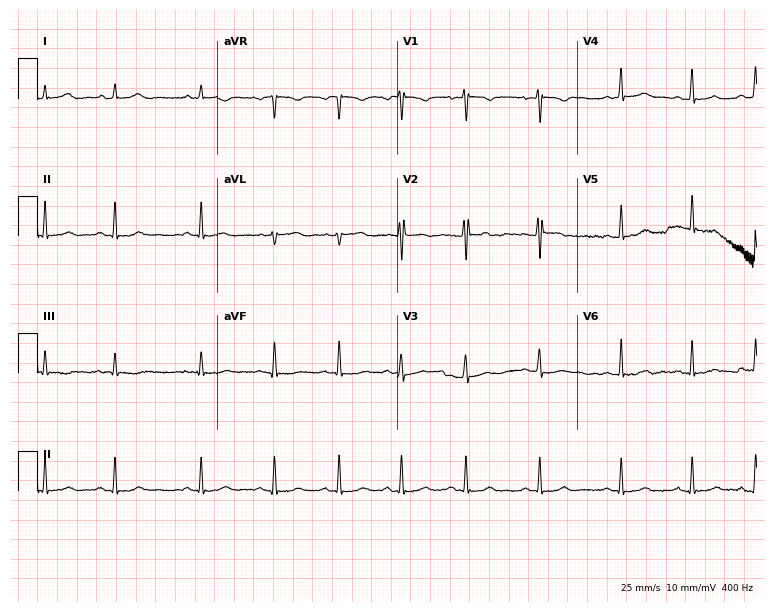
ECG (7.3-second recording at 400 Hz) — a 17-year-old woman. Labelled as a normal ECG.